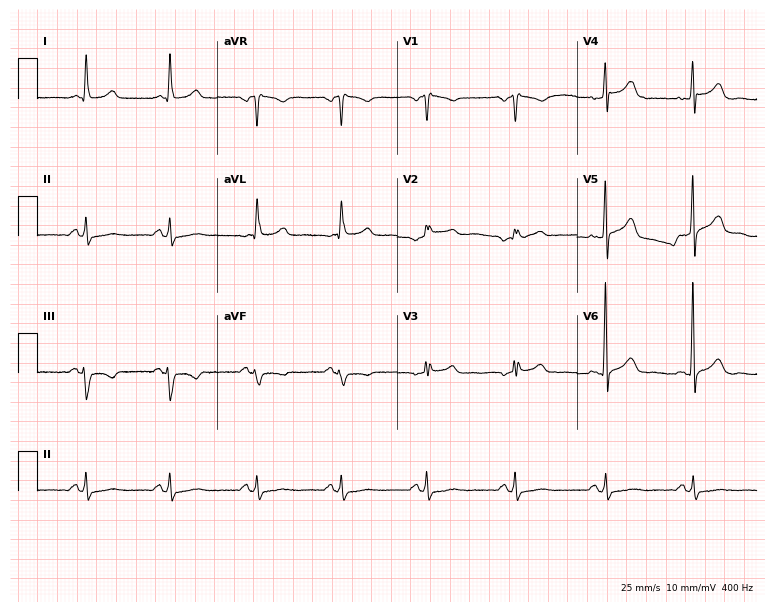
Resting 12-lead electrocardiogram. Patient: a female, 48 years old. None of these six findings is recorded: first-degree AV block, right bundle branch block, left bundle branch block, sinus bradycardia, atrial fibrillation, sinus tachycardia.